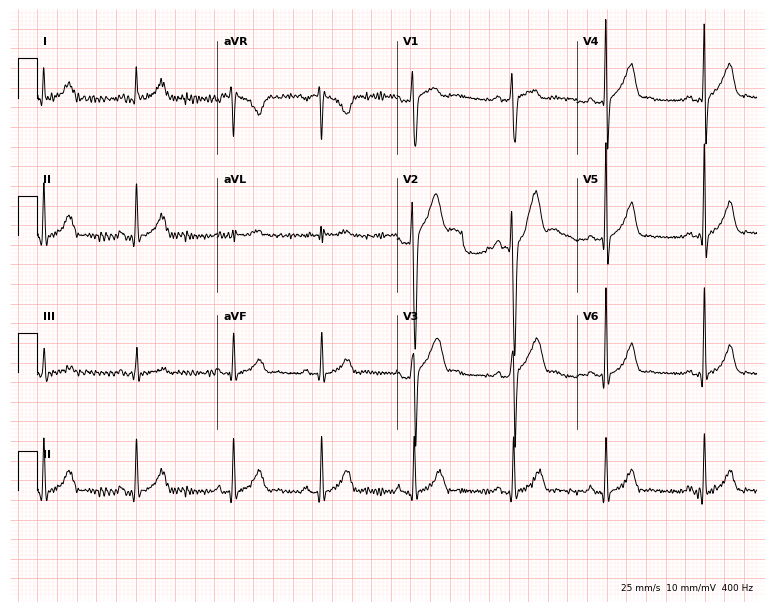
12-lead ECG from a 32-year-old male patient. Labelled as a normal ECG.